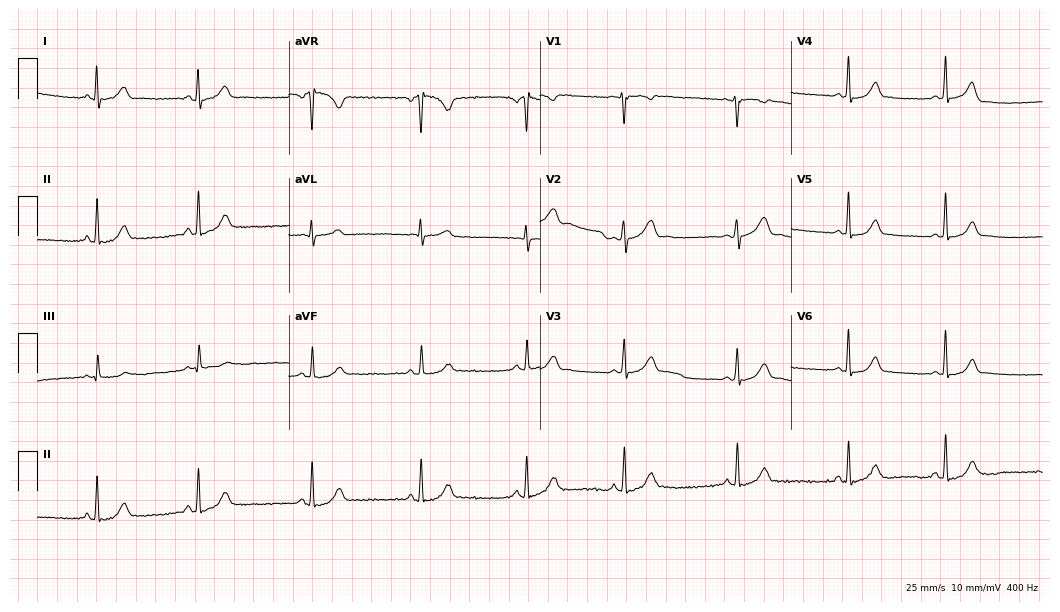
12-lead ECG from a female, 20 years old. Recorded interpretation: within normal limits.